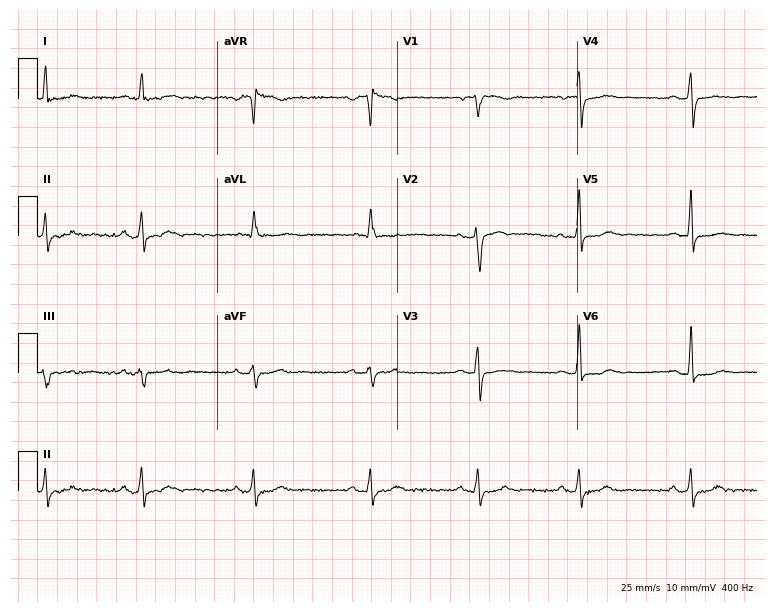
Electrocardiogram, a 48-year-old female patient. Of the six screened findings (first-degree AV block, right bundle branch block, left bundle branch block, sinus bradycardia, atrial fibrillation, sinus tachycardia), none is recorded.